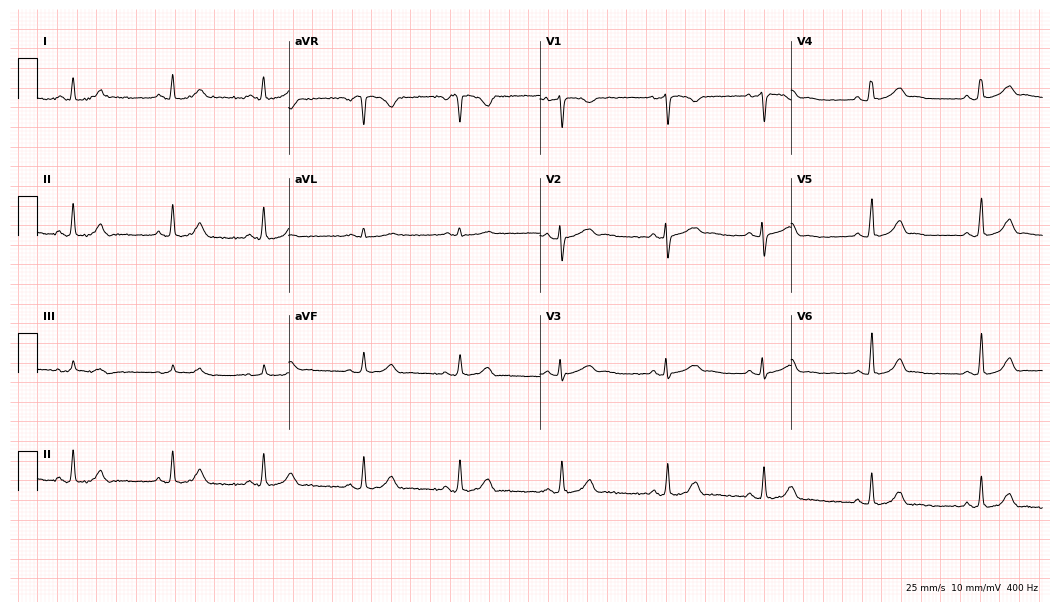
Resting 12-lead electrocardiogram (10.2-second recording at 400 Hz). Patient: a 20-year-old woman. Read as a normal ECG.